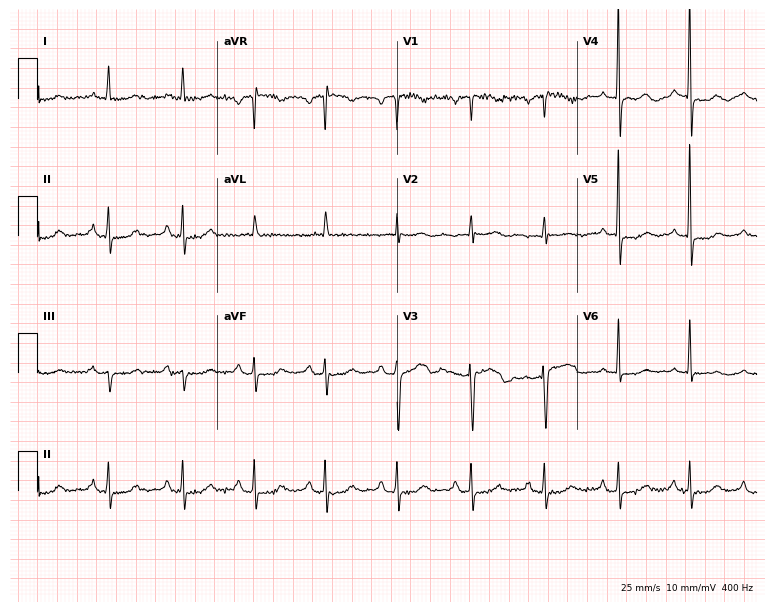
ECG — a woman, 79 years old. Screened for six findings — first-degree AV block, right bundle branch block (RBBB), left bundle branch block (LBBB), sinus bradycardia, atrial fibrillation (AF), sinus tachycardia — none is recorded.